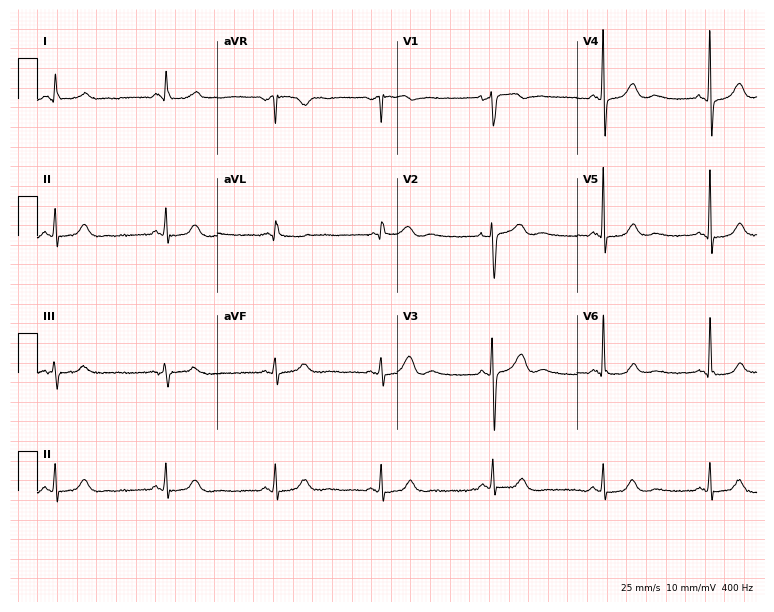
Electrocardiogram (7.3-second recording at 400 Hz), a 47-year-old female. Overall reading on record: normal ECG.